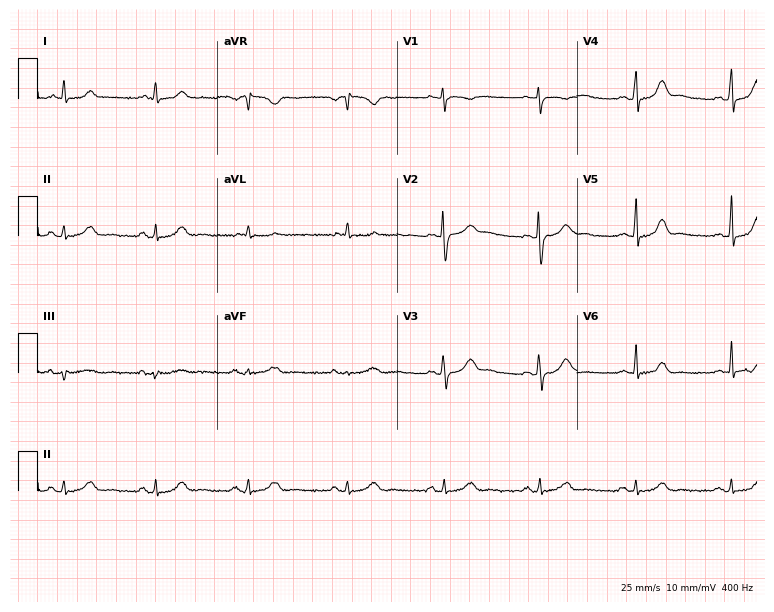
12-lead ECG from a 39-year-old woman. Labelled as a normal ECG.